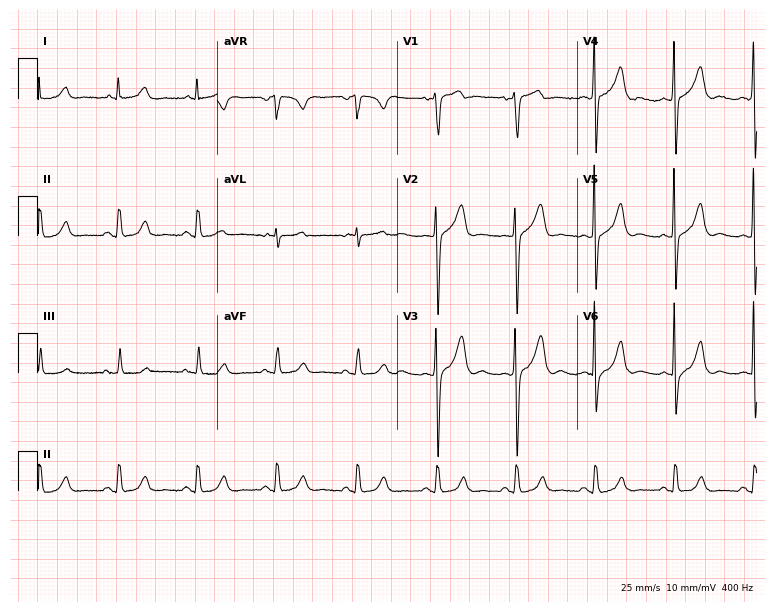
Electrocardiogram (7.3-second recording at 400 Hz), a 75-year-old man. Of the six screened findings (first-degree AV block, right bundle branch block (RBBB), left bundle branch block (LBBB), sinus bradycardia, atrial fibrillation (AF), sinus tachycardia), none is recorded.